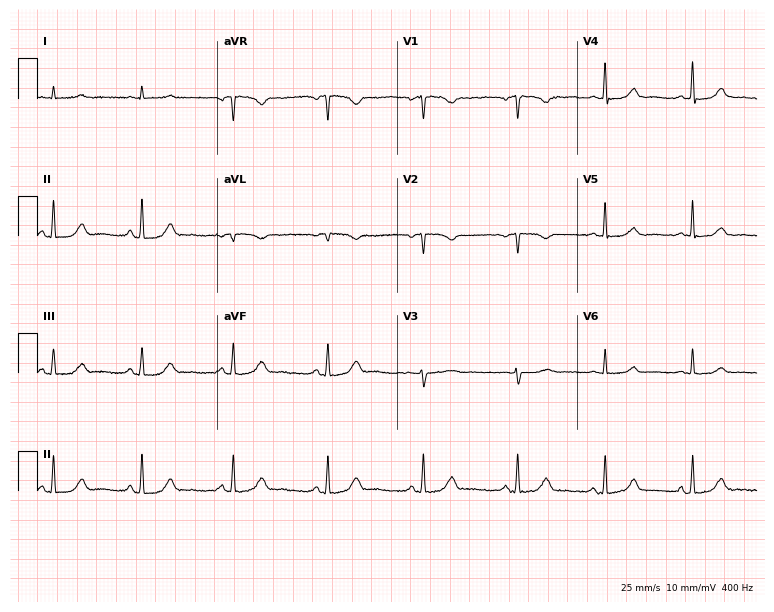
12-lead ECG from a woman, 58 years old. Recorded interpretation: within normal limits.